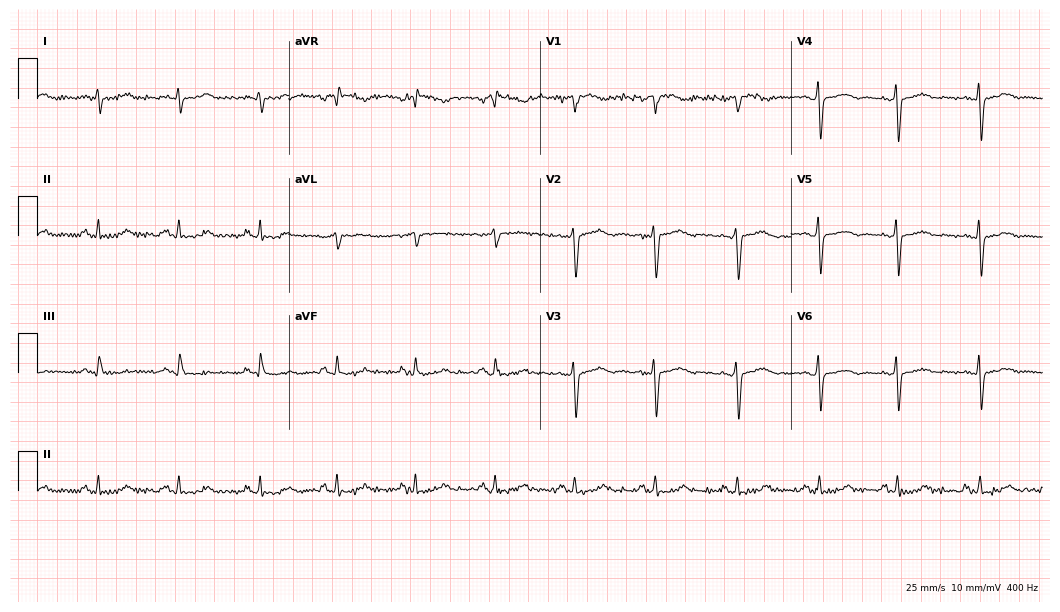
Standard 12-lead ECG recorded from a 47-year-old male (10.2-second recording at 400 Hz). None of these six findings is recorded: first-degree AV block, right bundle branch block, left bundle branch block, sinus bradycardia, atrial fibrillation, sinus tachycardia. Other findings, if any, are not listed.